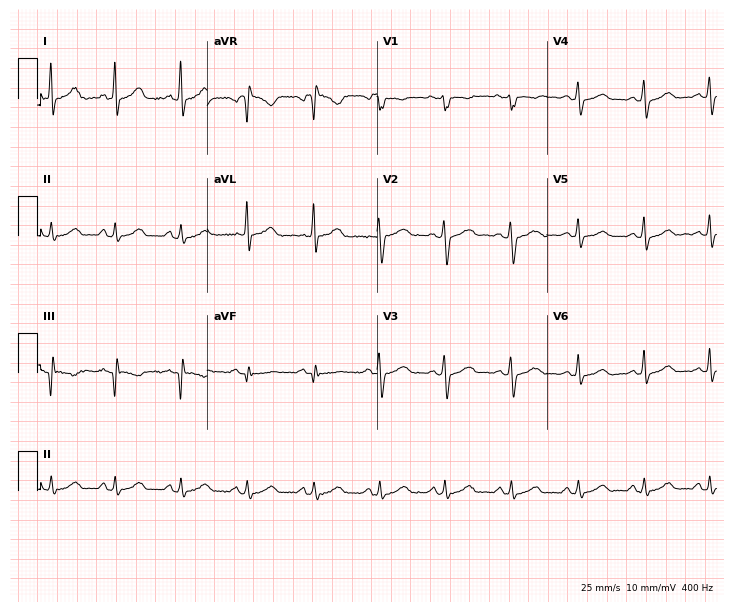
12-lead ECG from a 31-year-old female (6.9-second recording at 400 Hz). No first-degree AV block, right bundle branch block (RBBB), left bundle branch block (LBBB), sinus bradycardia, atrial fibrillation (AF) or sinus tachycardia recorded for this tracing.